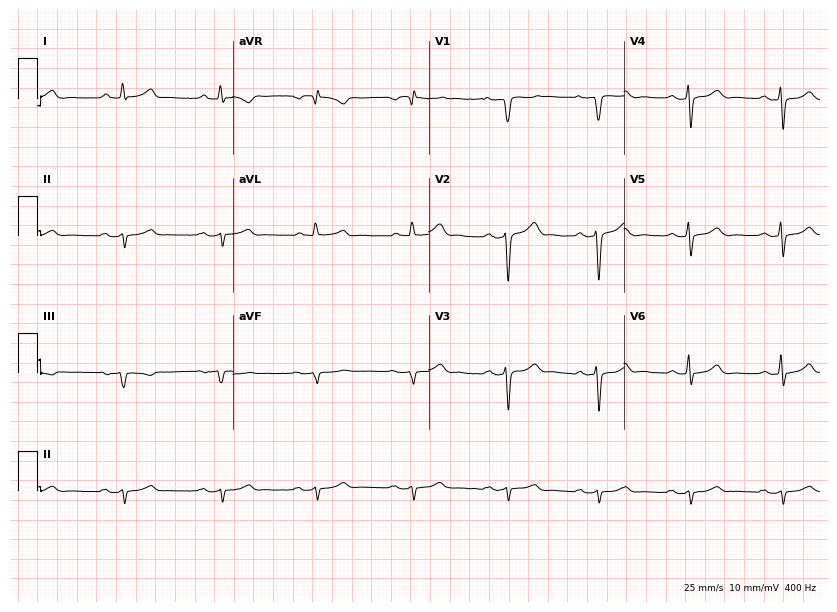
12-lead ECG (8-second recording at 400 Hz) from a man, 58 years old. Screened for six findings — first-degree AV block, right bundle branch block, left bundle branch block, sinus bradycardia, atrial fibrillation, sinus tachycardia — none is recorded.